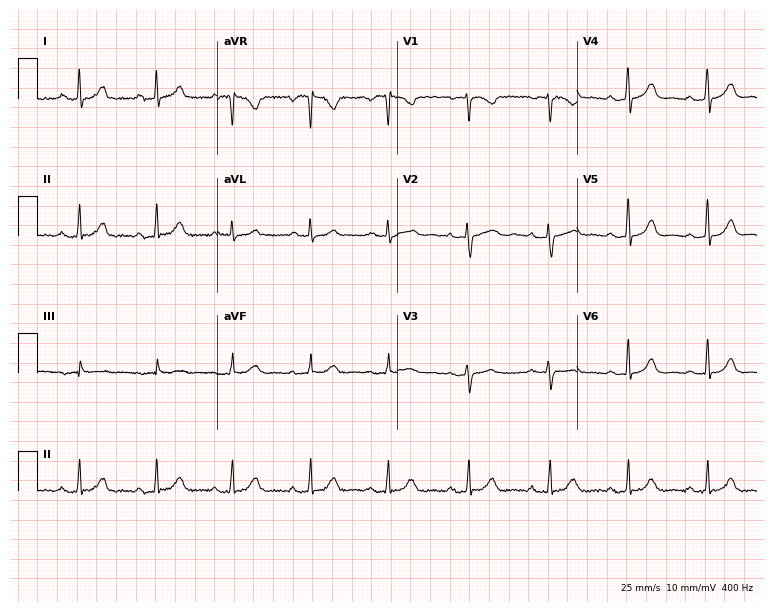
12-lead ECG from a female, 37 years old. Labelled as a normal ECG.